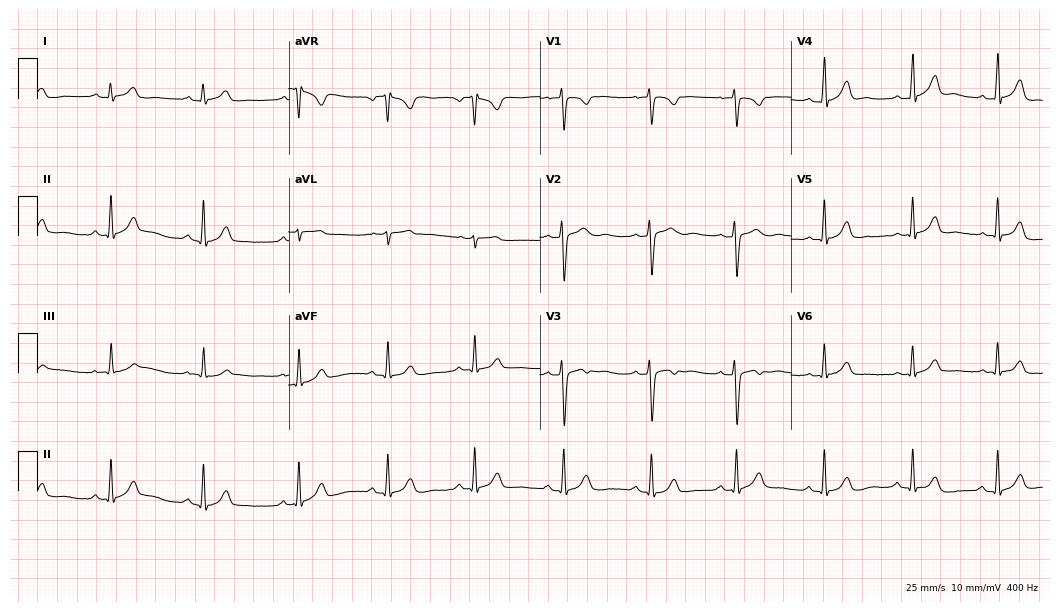
Resting 12-lead electrocardiogram (10.2-second recording at 400 Hz). Patient: a 21-year-old female. Read as a normal ECG.